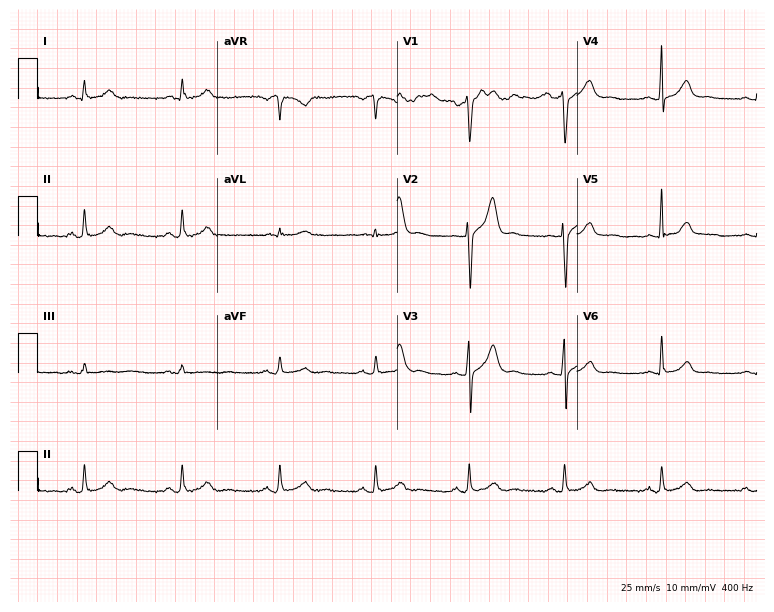
Electrocardiogram (7.3-second recording at 400 Hz), a 38-year-old male patient. Overall reading on record: normal ECG.